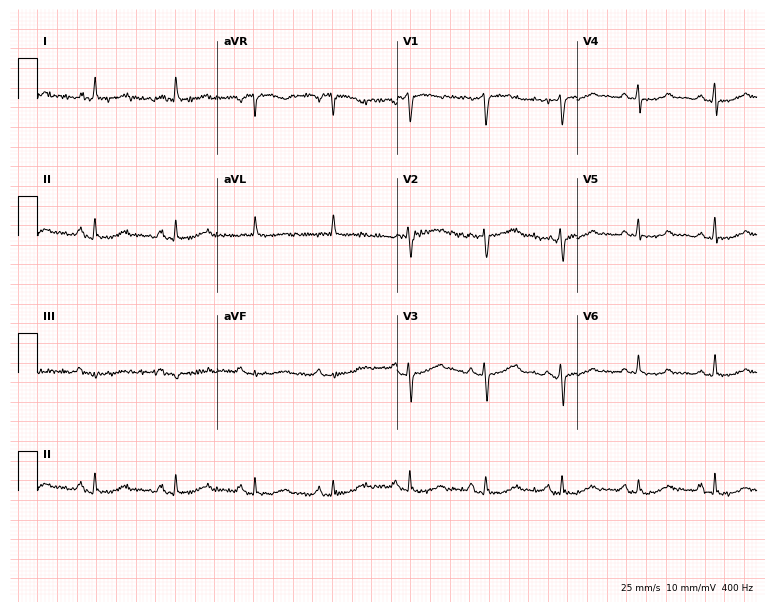
Standard 12-lead ECG recorded from a 52-year-old female patient (7.3-second recording at 400 Hz). Read as a normal ECG.